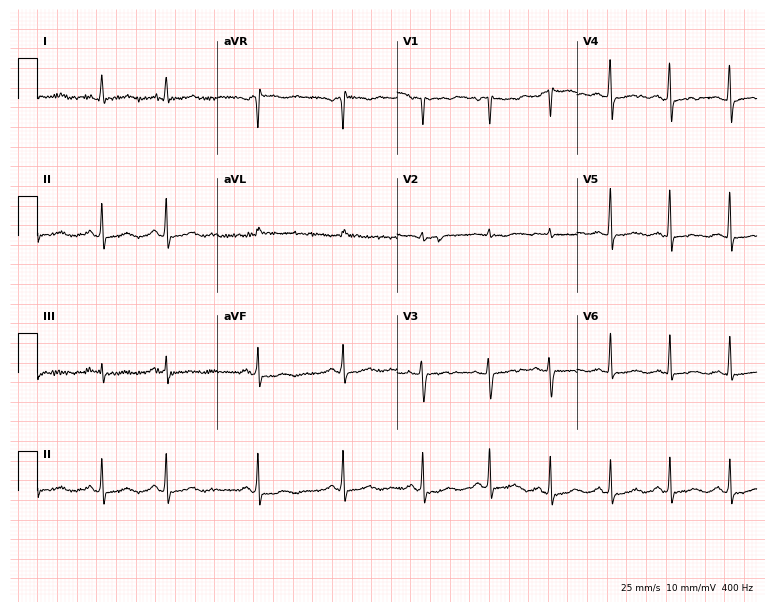
Electrocardiogram, a 59-year-old female. Of the six screened findings (first-degree AV block, right bundle branch block (RBBB), left bundle branch block (LBBB), sinus bradycardia, atrial fibrillation (AF), sinus tachycardia), none is recorded.